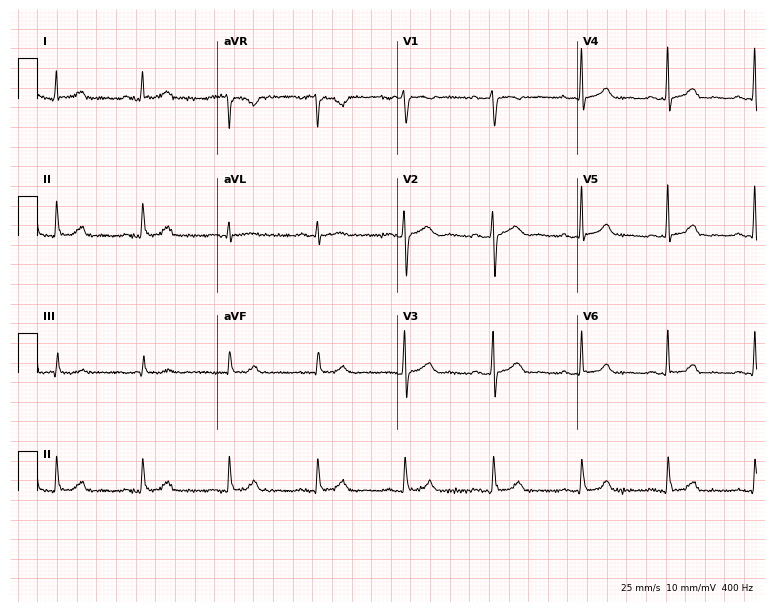
Electrocardiogram (7.3-second recording at 400 Hz), a female patient, 53 years old. Of the six screened findings (first-degree AV block, right bundle branch block, left bundle branch block, sinus bradycardia, atrial fibrillation, sinus tachycardia), none is recorded.